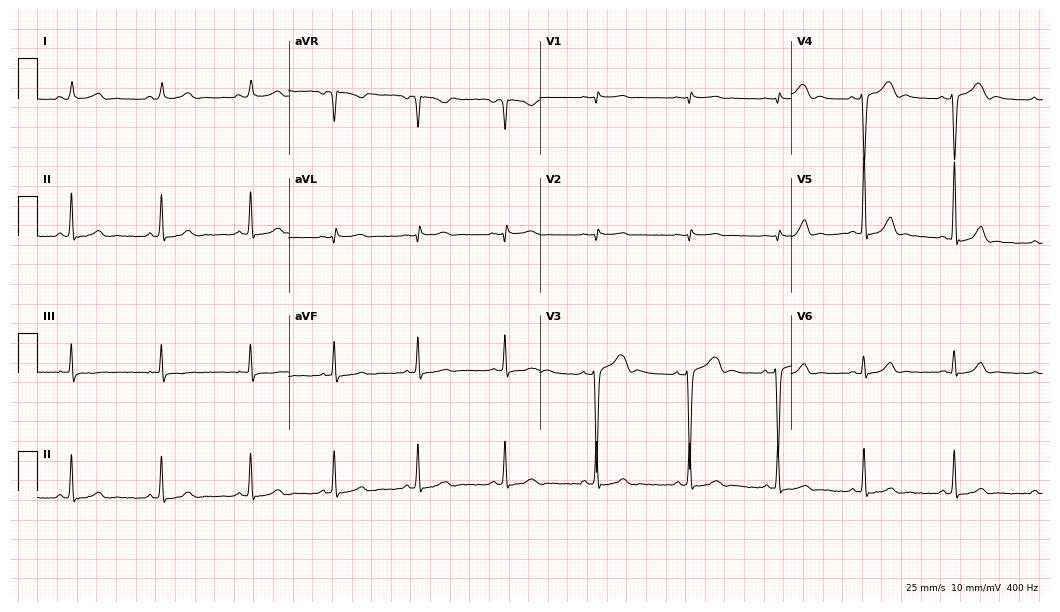
ECG (10.2-second recording at 400 Hz) — a 20-year-old woman. Screened for six findings — first-degree AV block, right bundle branch block, left bundle branch block, sinus bradycardia, atrial fibrillation, sinus tachycardia — none is recorded.